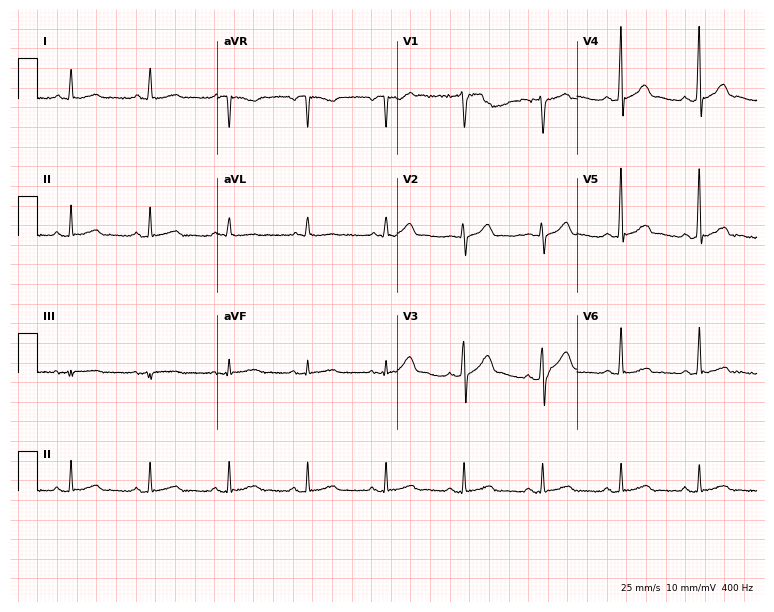
12-lead ECG (7.3-second recording at 400 Hz) from a 55-year-old male. Labelled as a normal ECG.